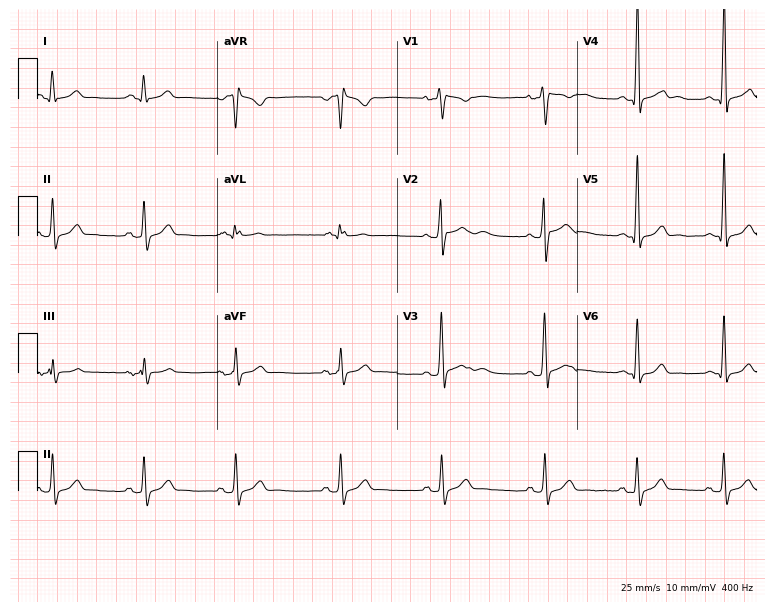
12-lead ECG (7.3-second recording at 400 Hz) from a 22-year-old male. Screened for six findings — first-degree AV block, right bundle branch block (RBBB), left bundle branch block (LBBB), sinus bradycardia, atrial fibrillation (AF), sinus tachycardia — none is recorded.